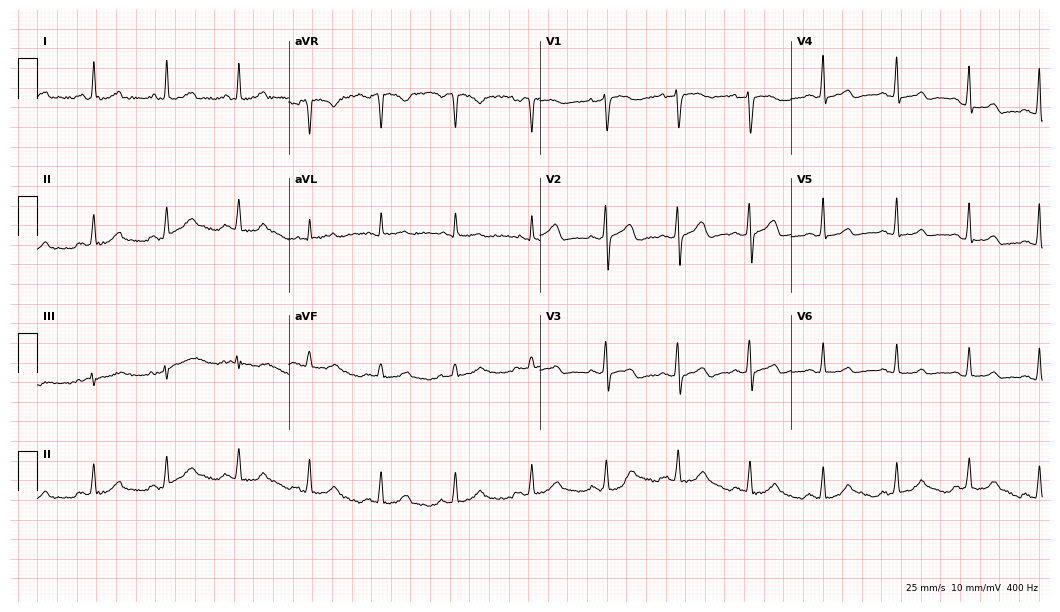
12-lead ECG from a woman, 51 years old (10.2-second recording at 400 Hz). No first-degree AV block, right bundle branch block, left bundle branch block, sinus bradycardia, atrial fibrillation or sinus tachycardia recorded for this tracing.